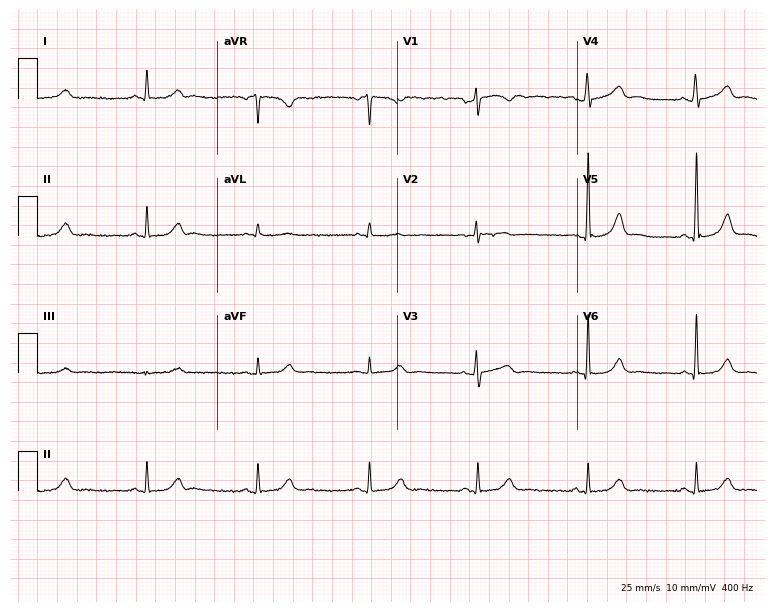
12-lead ECG (7.3-second recording at 400 Hz) from a female, 61 years old. Labelled as a normal ECG.